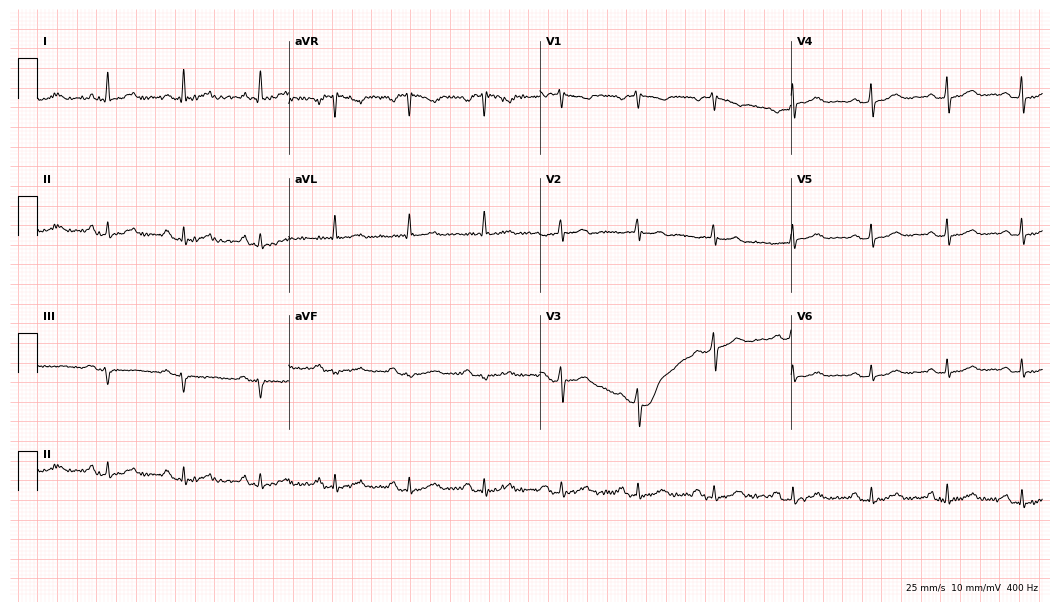
12-lead ECG from a female patient, 67 years old. Labelled as a normal ECG.